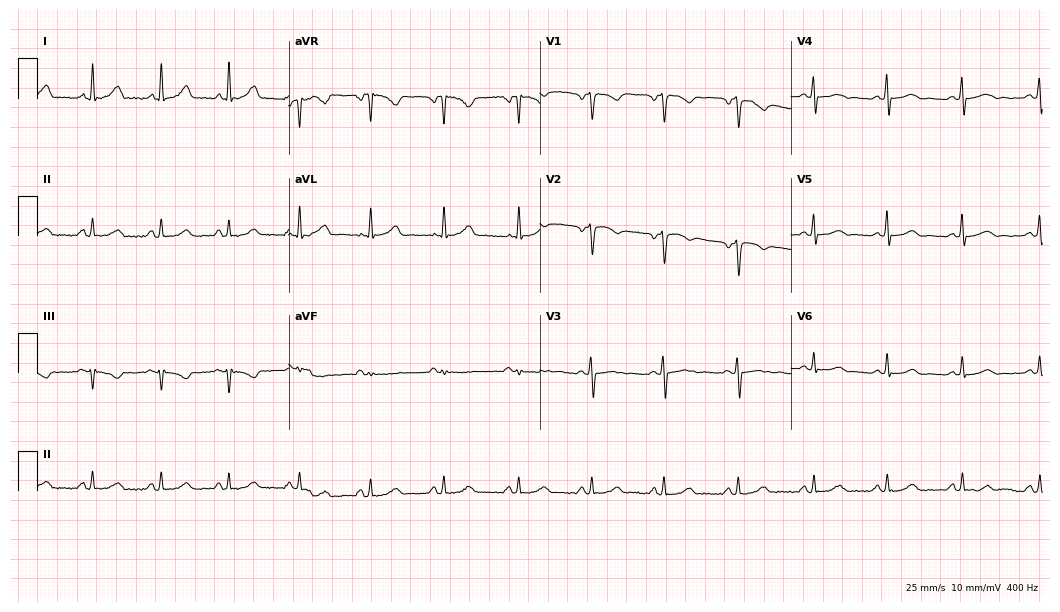
Resting 12-lead electrocardiogram (10.2-second recording at 400 Hz). Patient: a female, 40 years old. Read as a normal ECG.